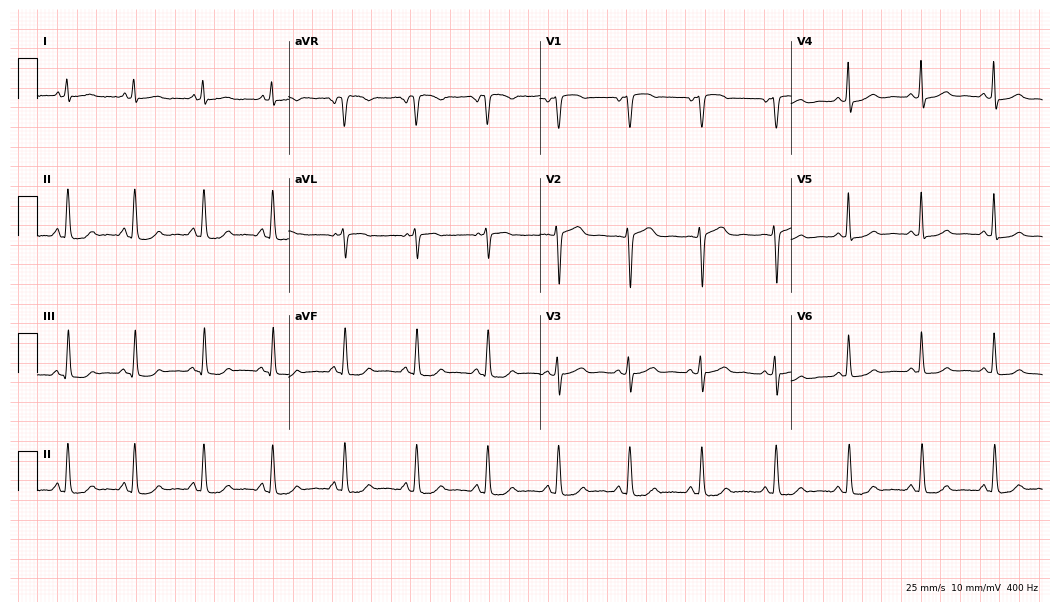
Electrocardiogram (10.2-second recording at 400 Hz), a female patient, 58 years old. Of the six screened findings (first-degree AV block, right bundle branch block (RBBB), left bundle branch block (LBBB), sinus bradycardia, atrial fibrillation (AF), sinus tachycardia), none is recorded.